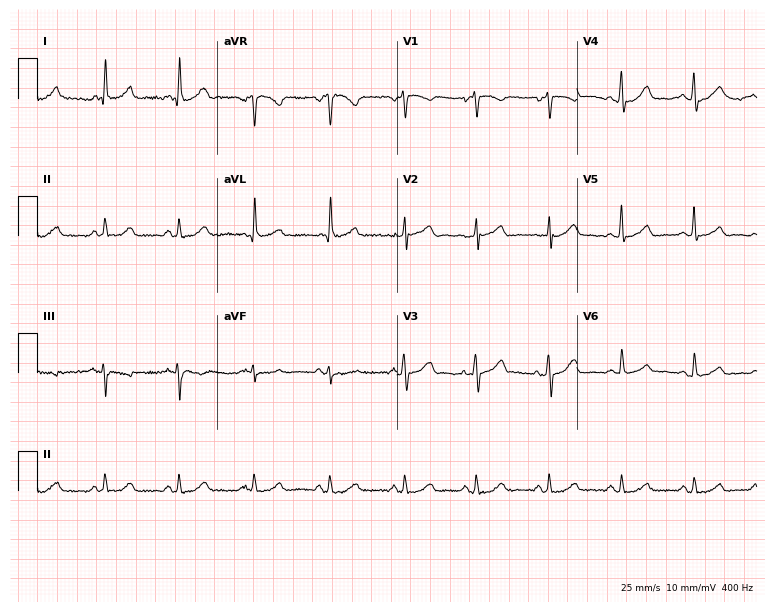
Electrocardiogram (7.3-second recording at 400 Hz), a male patient, 43 years old. Overall reading on record: normal ECG.